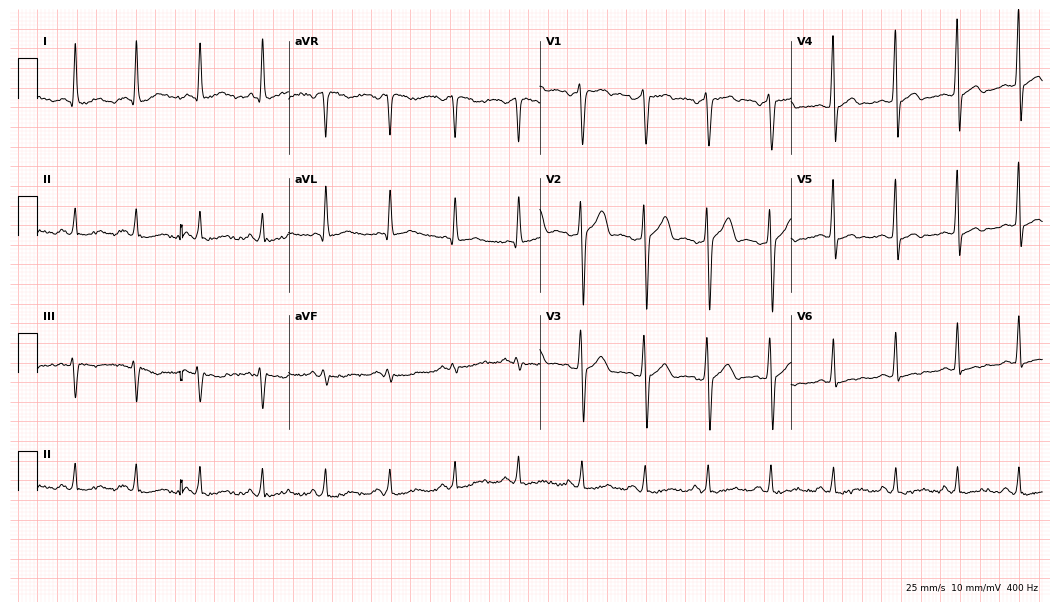
ECG — a 46-year-old male patient. Screened for six findings — first-degree AV block, right bundle branch block, left bundle branch block, sinus bradycardia, atrial fibrillation, sinus tachycardia — none is recorded. Other findings, if any, are not listed.